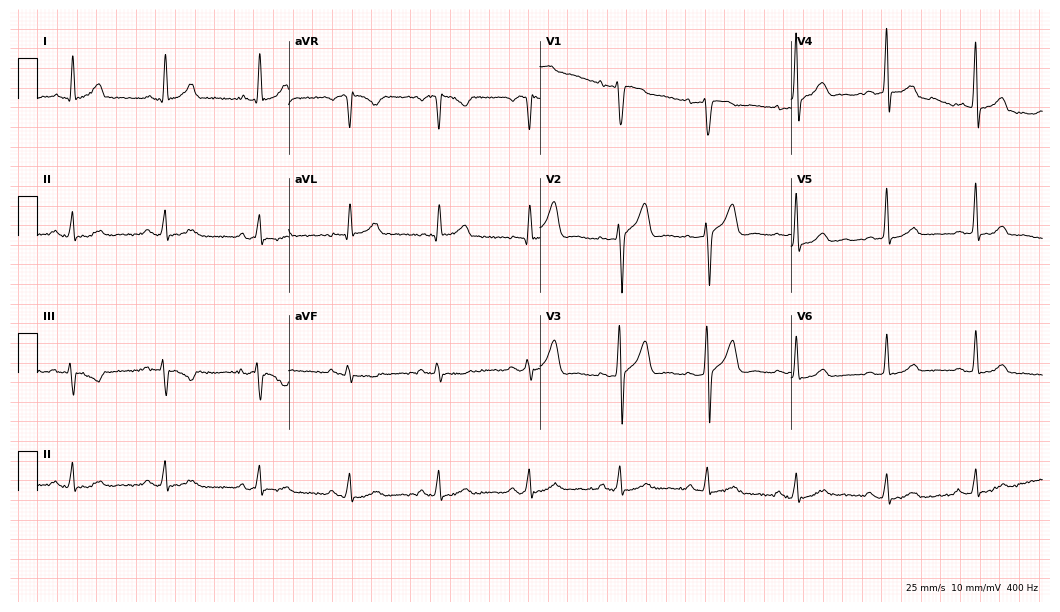
12-lead ECG from a 53-year-old man. No first-degree AV block, right bundle branch block (RBBB), left bundle branch block (LBBB), sinus bradycardia, atrial fibrillation (AF) or sinus tachycardia recorded for this tracing.